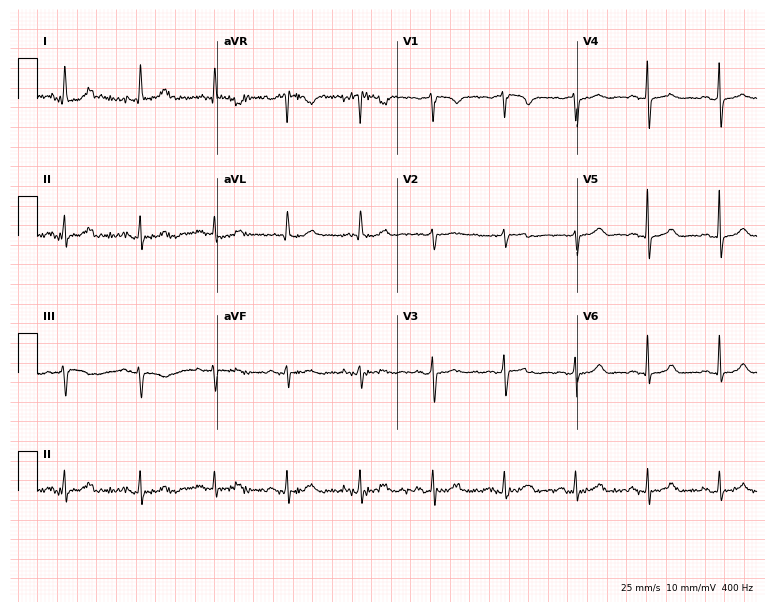
12-lead ECG from a 66-year-old female (7.3-second recording at 400 Hz). No first-degree AV block, right bundle branch block, left bundle branch block, sinus bradycardia, atrial fibrillation or sinus tachycardia recorded for this tracing. Other findings, if any, are not listed.